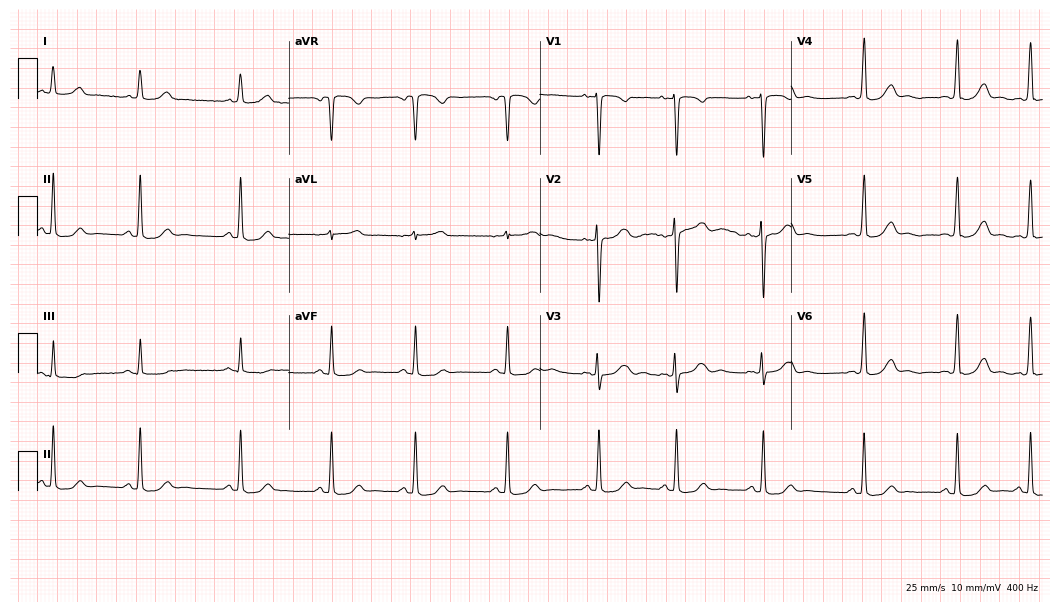
12-lead ECG from a female patient, 20 years old. Labelled as a normal ECG.